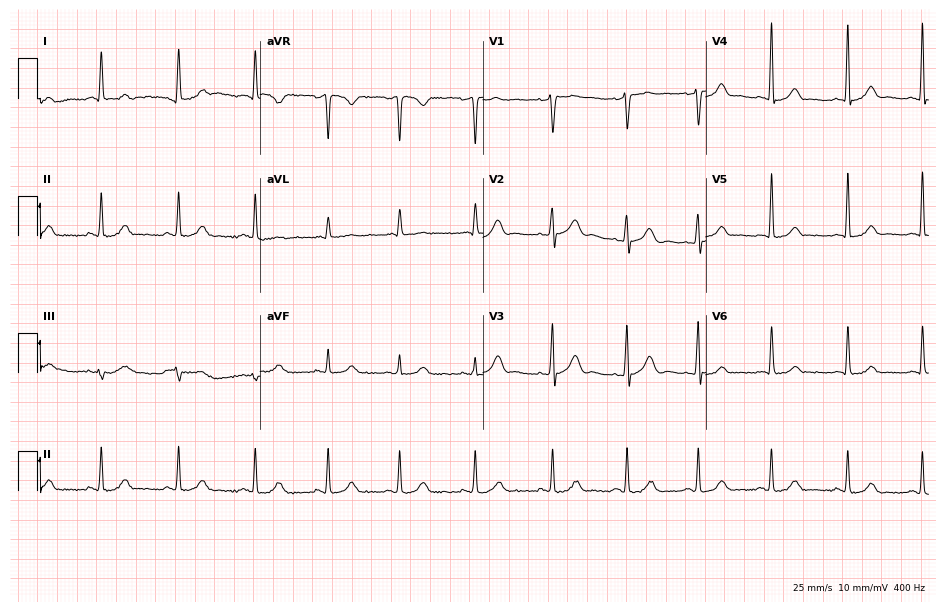
Standard 12-lead ECG recorded from a 45-year-old woman (9.1-second recording at 400 Hz). Read as a normal ECG.